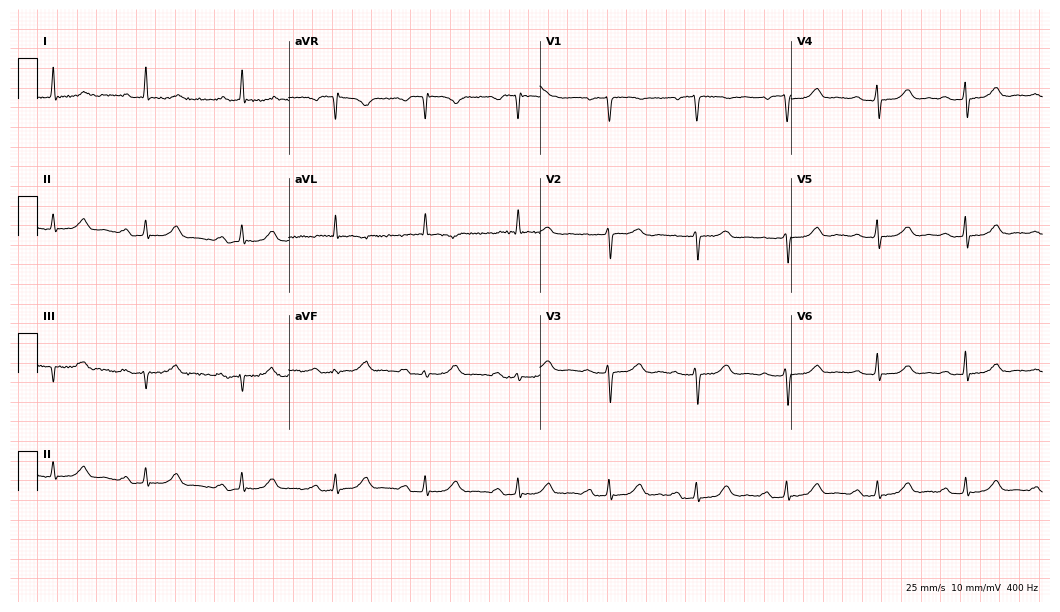
Electrocardiogram, a 63-year-old female. Overall reading on record: normal ECG.